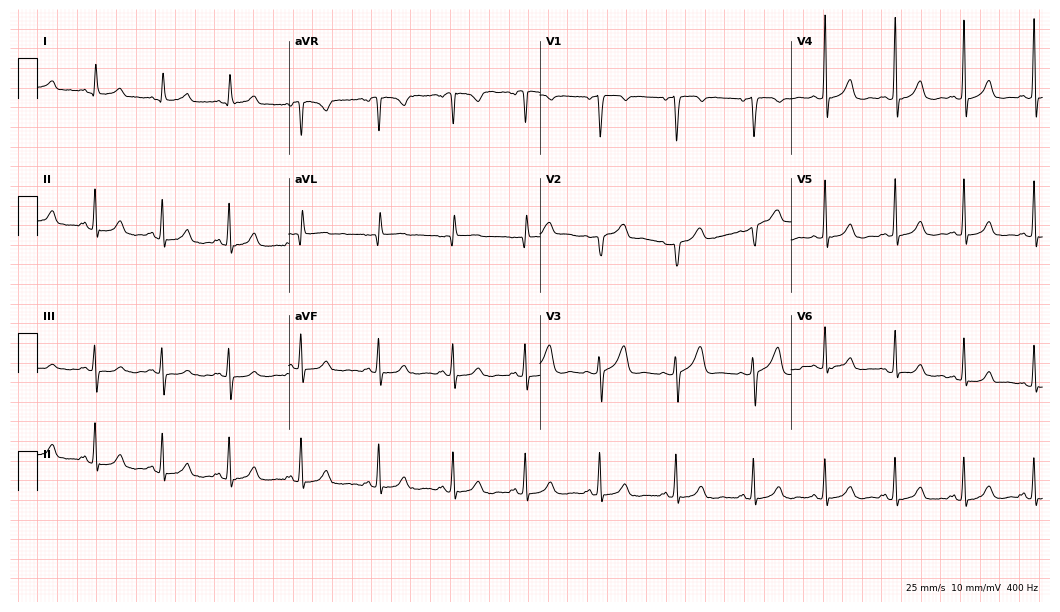
12-lead ECG from a woman, 36 years old. Recorded interpretation: within normal limits.